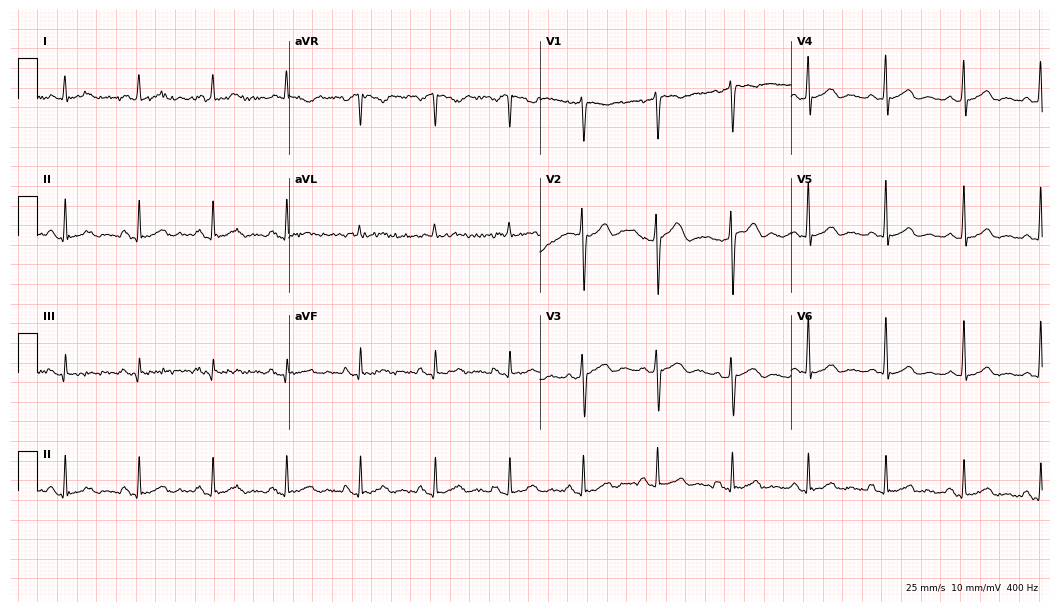
Resting 12-lead electrocardiogram. Patient: a male, 56 years old. None of these six findings is recorded: first-degree AV block, right bundle branch block, left bundle branch block, sinus bradycardia, atrial fibrillation, sinus tachycardia. Other findings, if any, are not listed.